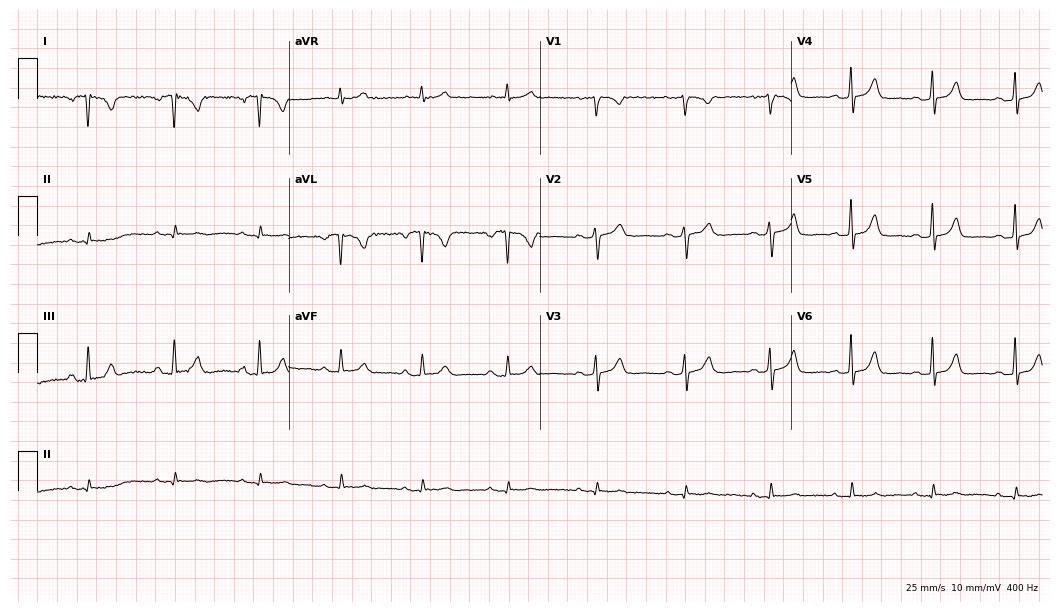
12-lead ECG from a female patient, 30 years old. No first-degree AV block, right bundle branch block (RBBB), left bundle branch block (LBBB), sinus bradycardia, atrial fibrillation (AF) or sinus tachycardia recorded for this tracing.